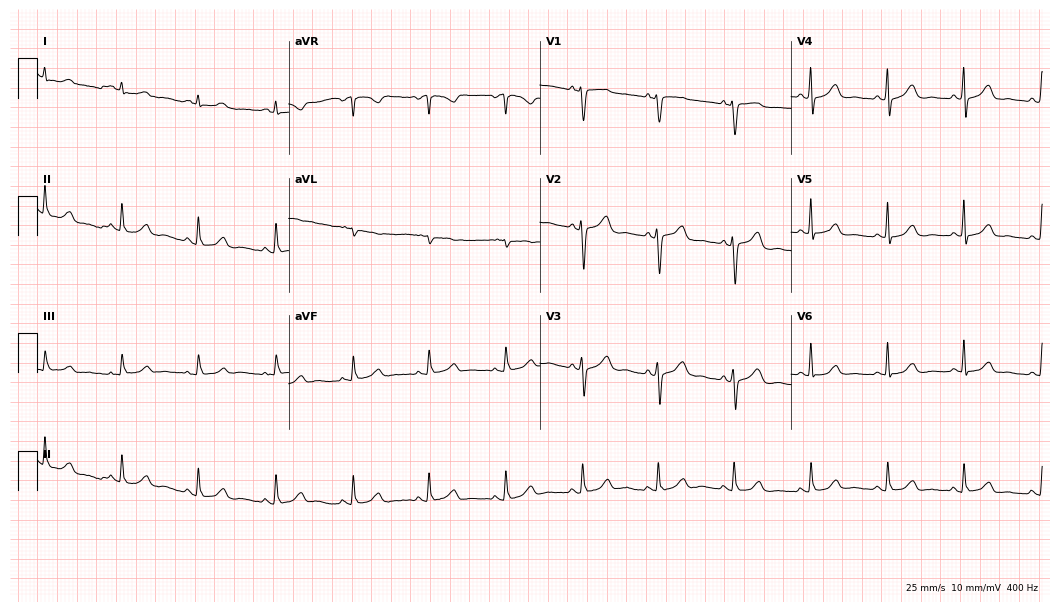
12-lead ECG from a 55-year-old female patient (10.2-second recording at 400 Hz). No first-degree AV block, right bundle branch block (RBBB), left bundle branch block (LBBB), sinus bradycardia, atrial fibrillation (AF) or sinus tachycardia recorded for this tracing. Findings outside these six are not listed.